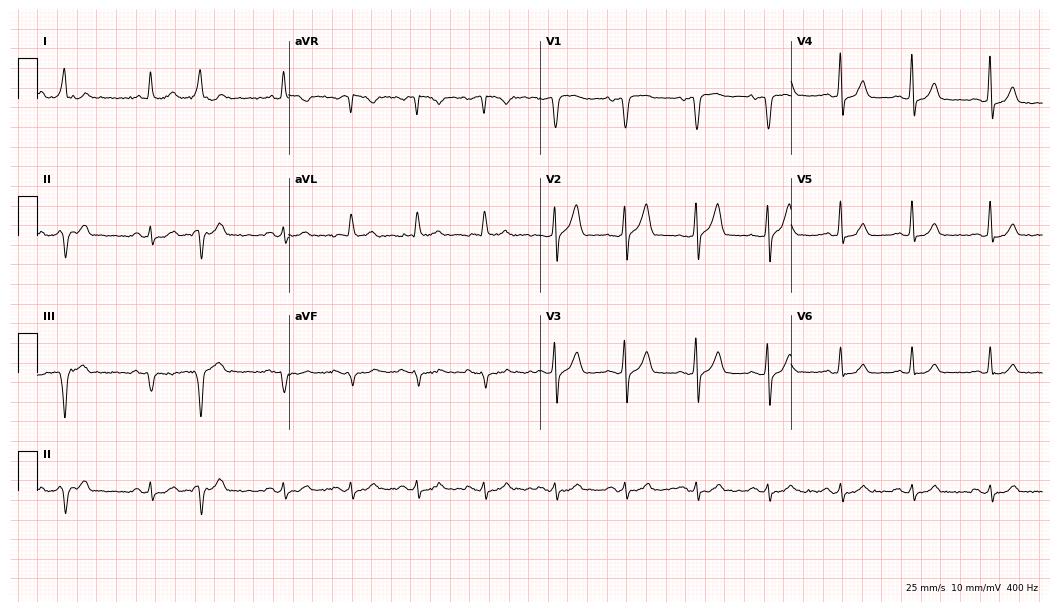
Standard 12-lead ECG recorded from a 66-year-old male. None of these six findings is recorded: first-degree AV block, right bundle branch block (RBBB), left bundle branch block (LBBB), sinus bradycardia, atrial fibrillation (AF), sinus tachycardia.